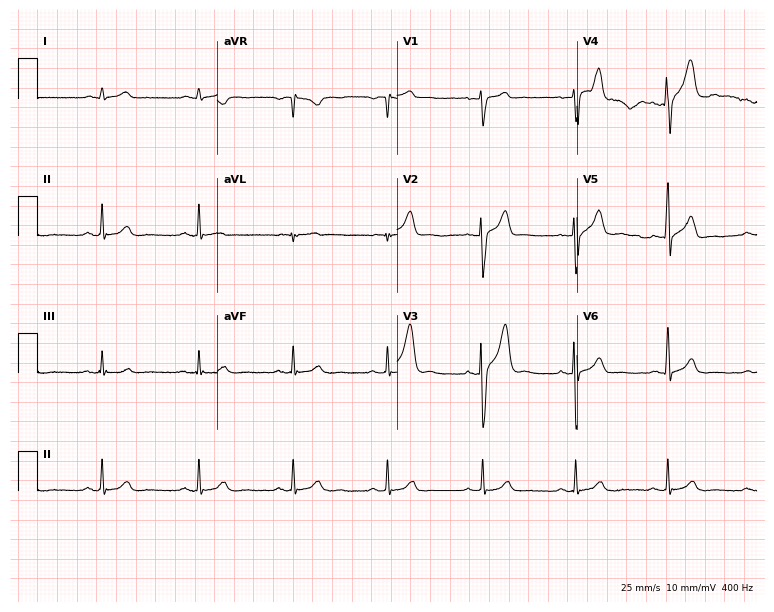
Electrocardiogram (7.3-second recording at 400 Hz), a 45-year-old man. Overall reading on record: normal ECG.